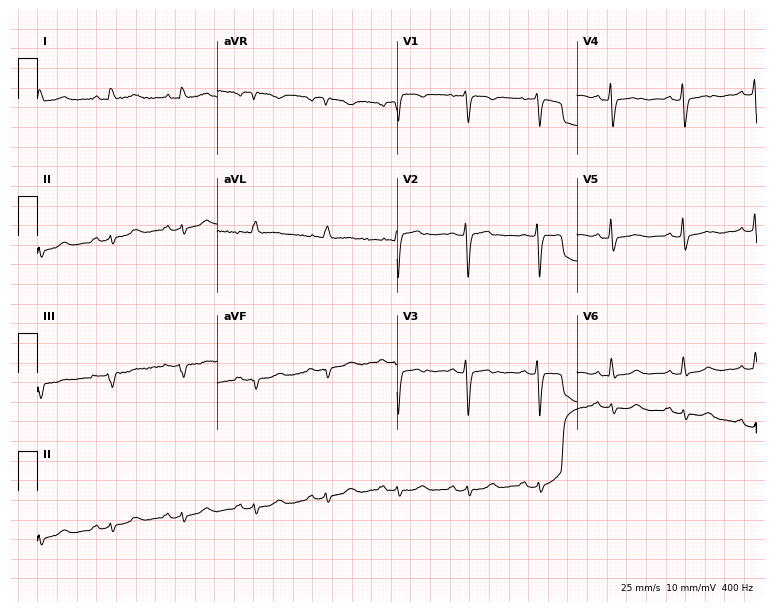
12-lead ECG from a woman, 76 years old (7.3-second recording at 400 Hz). No first-degree AV block, right bundle branch block, left bundle branch block, sinus bradycardia, atrial fibrillation or sinus tachycardia recorded for this tracing.